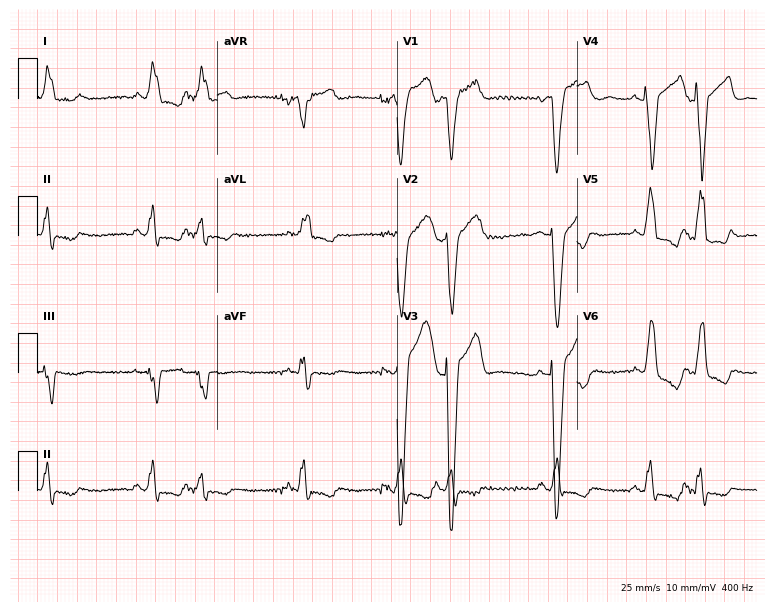
12-lead ECG from a male, 70 years old. No first-degree AV block, right bundle branch block (RBBB), left bundle branch block (LBBB), sinus bradycardia, atrial fibrillation (AF) or sinus tachycardia recorded for this tracing.